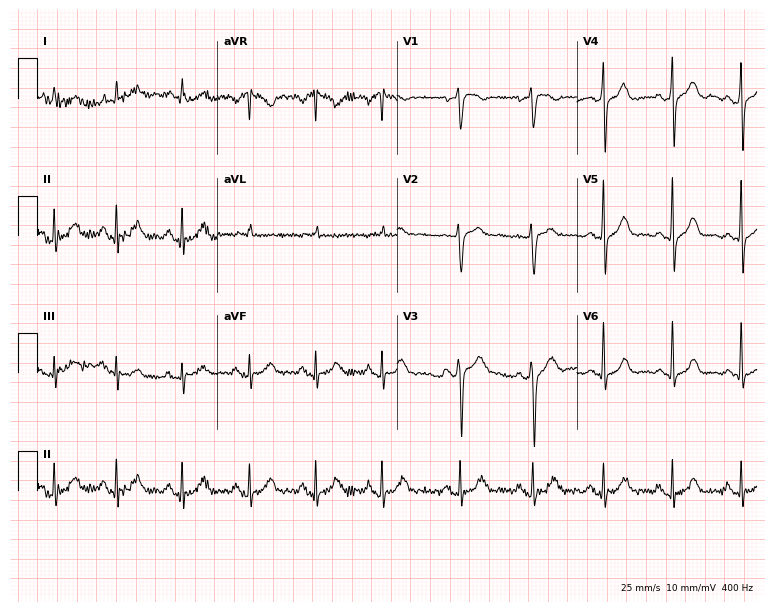
Electrocardiogram (7.3-second recording at 400 Hz), a 57-year-old female patient. Overall reading on record: normal ECG.